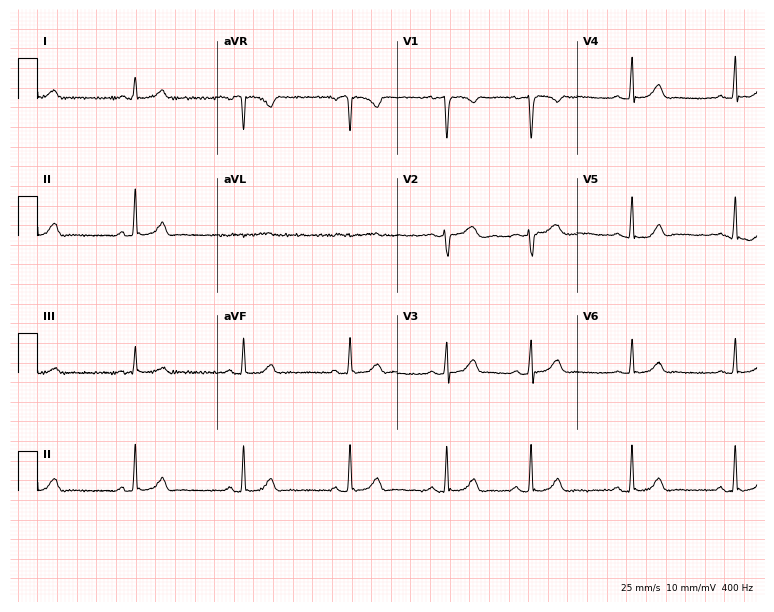
12-lead ECG from a female, 26 years old. Screened for six findings — first-degree AV block, right bundle branch block, left bundle branch block, sinus bradycardia, atrial fibrillation, sinus tachycardia — none is recorded.